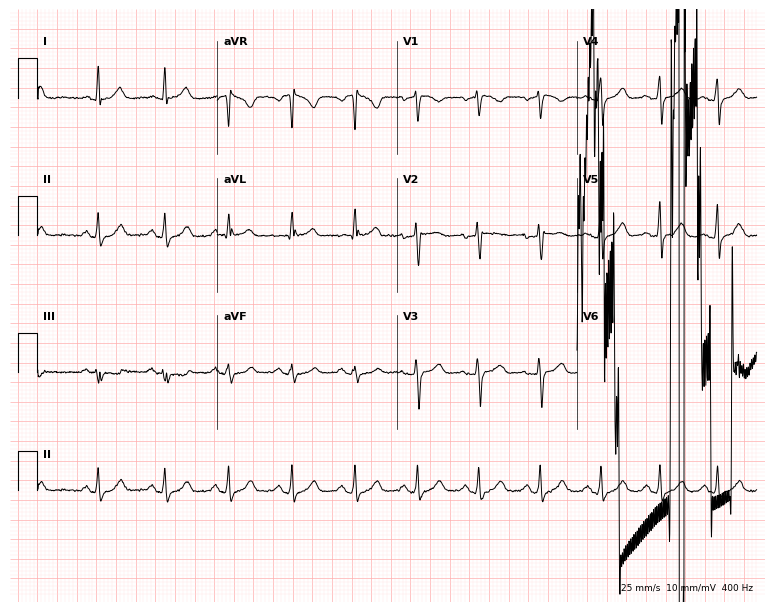
12-lead ECG from a female patient, 48 years old. No first-degree AV block, right bundle branch block (RBBB), left bundle branch block (LBBB), sinus bradycardia, atrial fibrillation (AF) or sinus tachycardia recorded for this tracing.